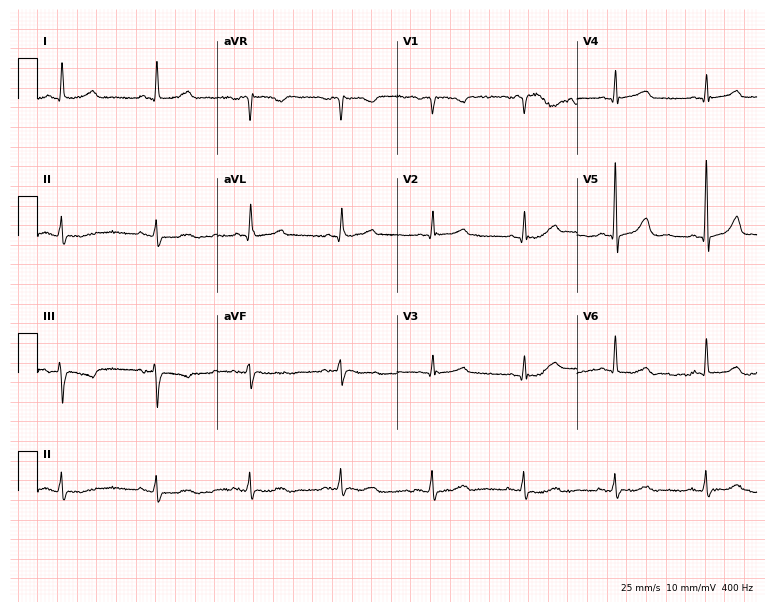
12-lead ECG from a female, 64 years old. No first-degree AV block, right bundle branch block, left bundle branch block, sinus bradycardia, atrial fibrillation or sinus tachycardia recorded for this tracing. Other findings, if any, are not listed.